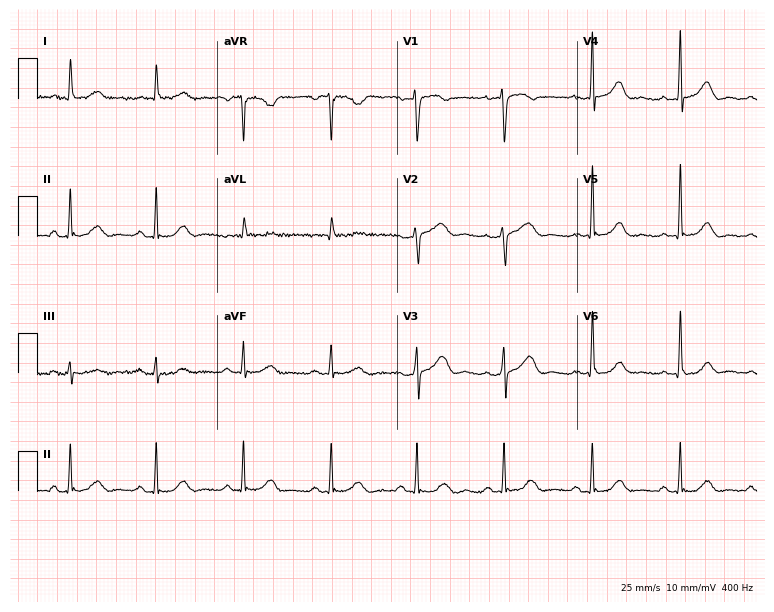
Electrocardiogram, a female patient, 66 years old. Overall reading on record: normal ECG.